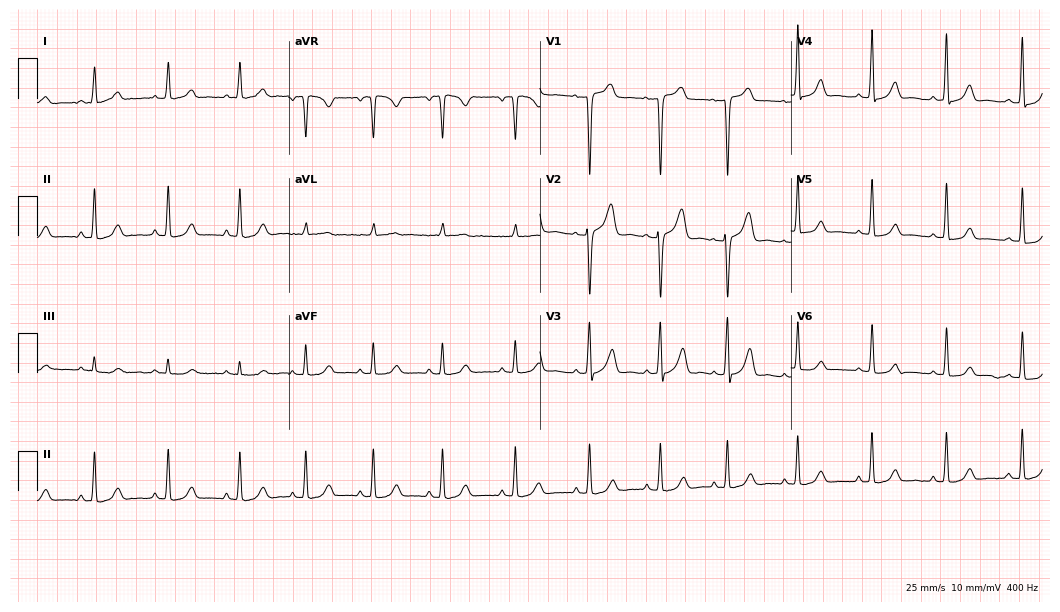
12-lead ECG (10.2-second recording at 400 Hz) from a female patient, 42 years old. Labelled as a normal ECG.